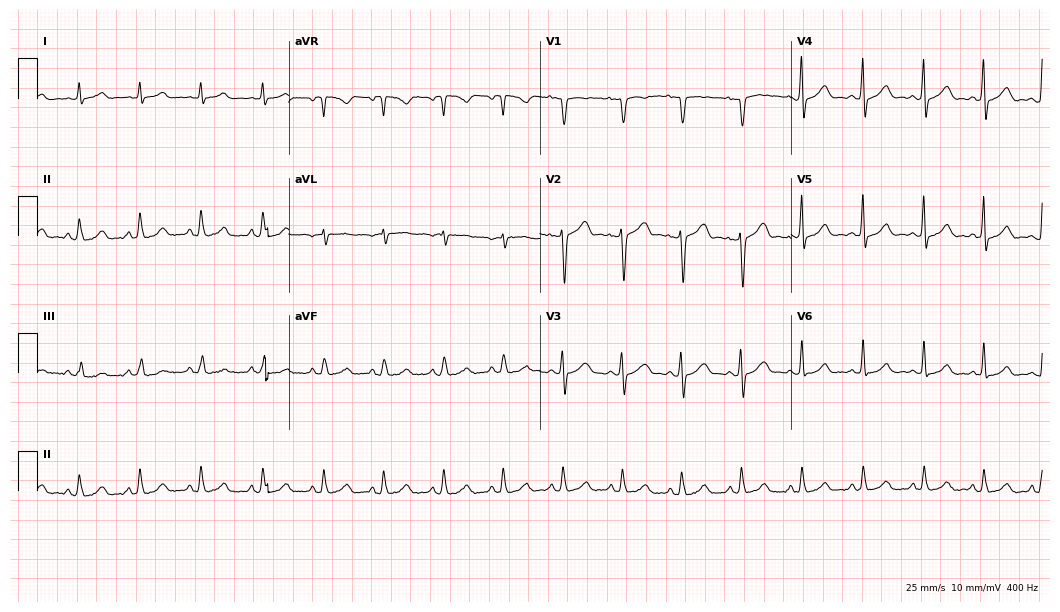
ECG — a 28-year-old female patient. Labelled as a normal ECG.